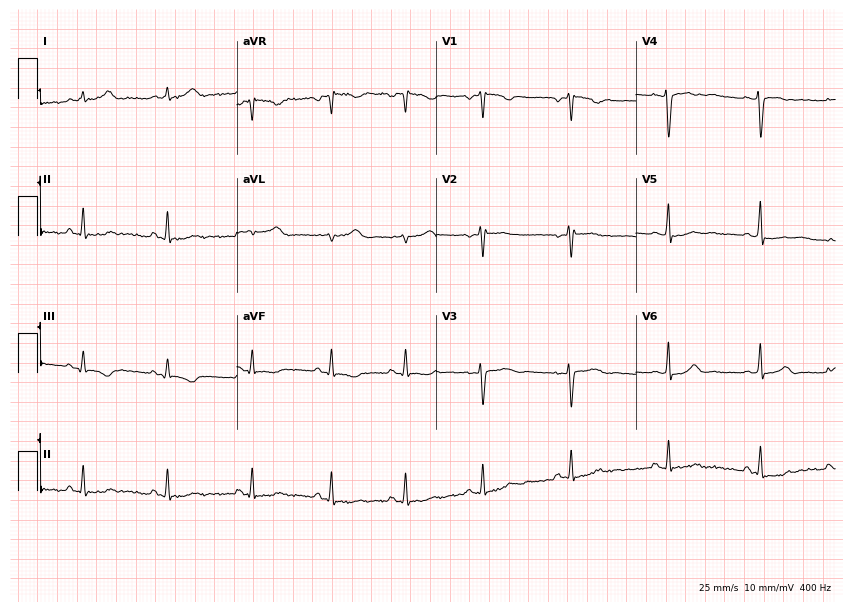
Resting 12-lead electrocardiogram (8.1-second recording at 400 Hz). Patient: a woman, 21 years old. Read as a normal ECG.